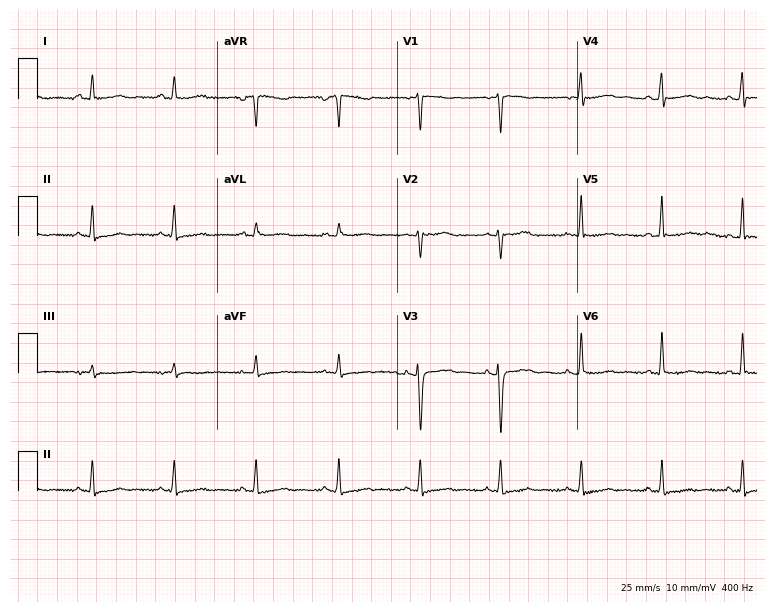
Standard 12-lead ECG recorded from a 41-year-old woman (7.3-second recording at 400 Hz). None of these six findings is recorded: first-degree AV block, right bundle branch block, left bundle branch block, sinus bradycardia, atrial fibrillation, sinus tachycardia. Only these six findings were labelled.